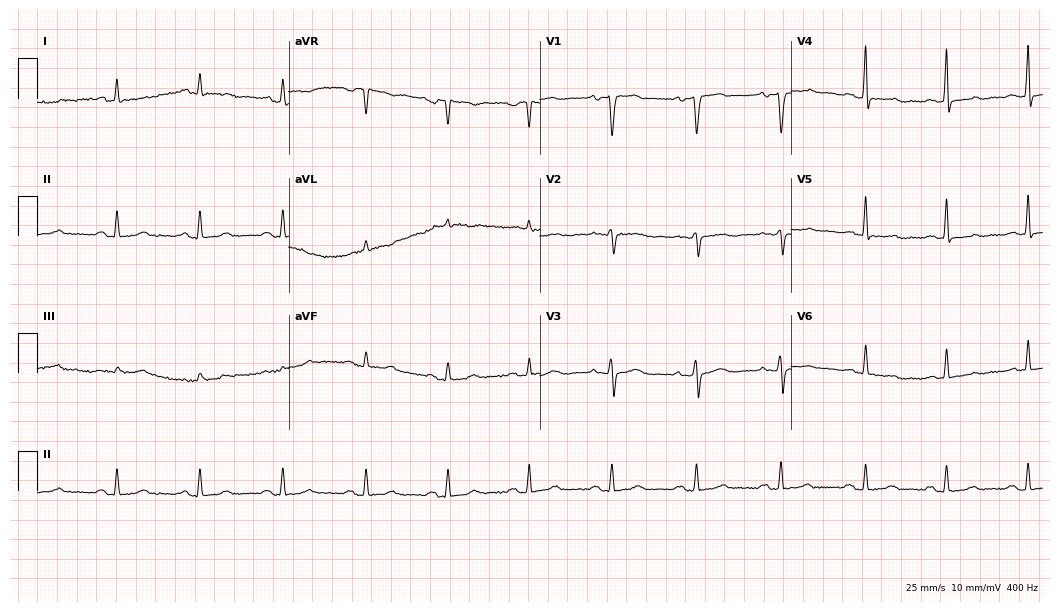
12-lead ECG (10.2-second recording at 400 Hz) from a woman, 58 years old. Screened for six findings — first-degree AV block, right bundle branch block, left bundle branch block, sinus bradycardia, atrial fibrillation, sinus tachycardia — none is recorded. Other findings, if any, are not listed.